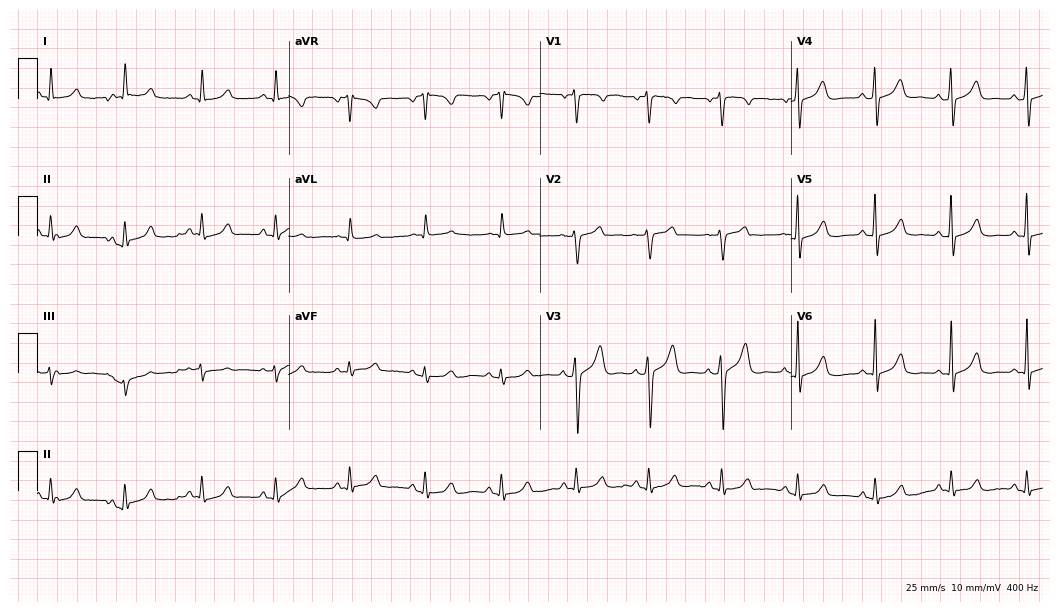
Electrocardiogram (10.2-second recording at 400 Hz), a man, 44 years old. Of the six screened findings (first-degree AV block, right bundle branch block, left bundle branch block, sinus bradycardia, atrial fibrillation, sinus tachycardia), none is recorded.